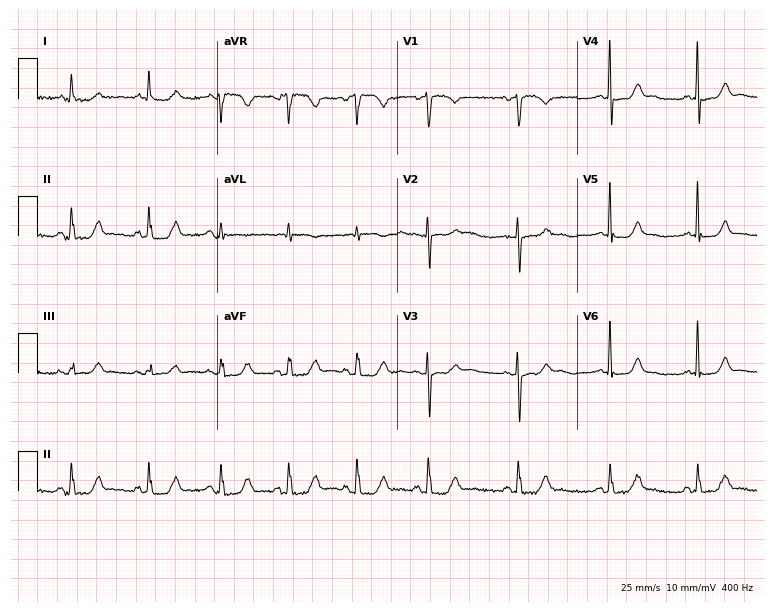
Standard 12-lead ECG recorded from a female patient, 83 years old (7.3-second recording at 400 Hz). Read as a normal ECG.